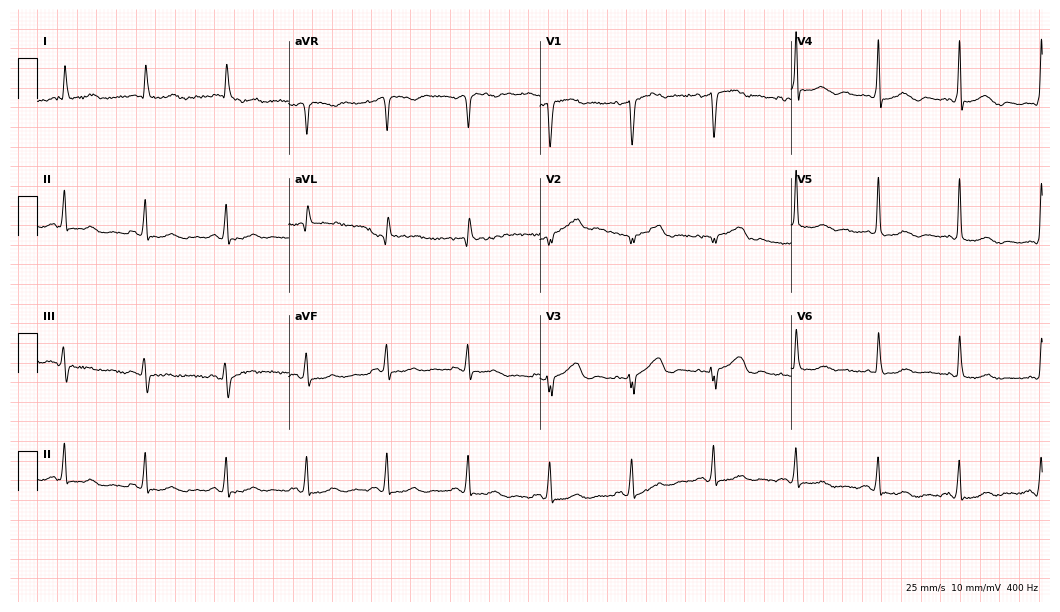
Standard 12-lead ECG recorded from a woman, 79 years old (10.2-second recording at 400 Hz). None of these six findings is recorded: first-degree AV block, right bundle branch block (RBBB), left bundle branch block (LBBB), sinus bradycardia, atrial fibrillation (AF), sinus tachycardia.